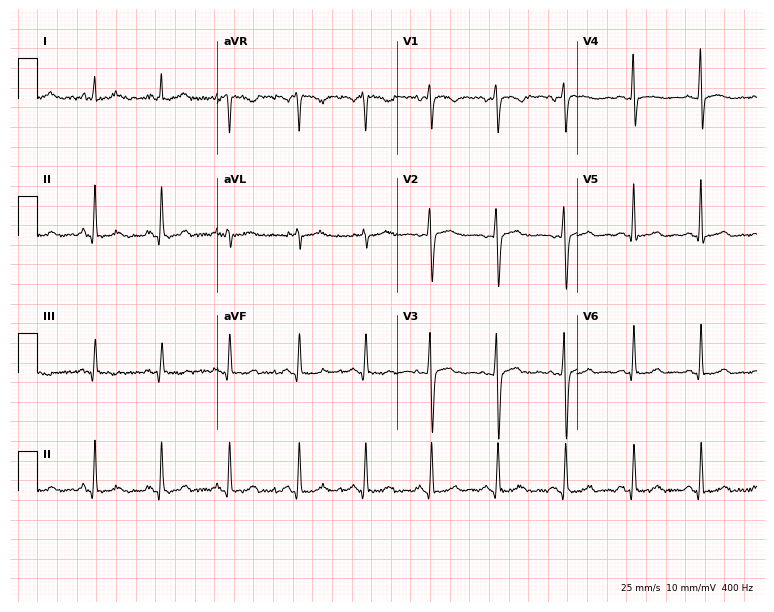
ECG — a 28-year-old female. Labelled as a normal ECG.